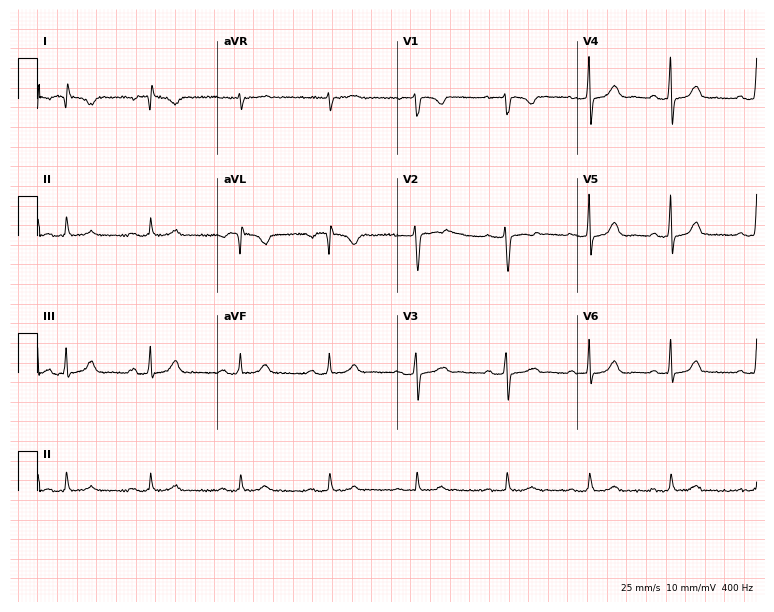
Resting 12-lead electrocardiogram. Patient: a 31-year-old female. None of these six findings is recorded: first-degree AV block, right bundle branch block (RBBB), left bundle branch block (LBBB), sinus bradycardia, atrial fibrillation (AF), sinus tachycardia. Other findings, if any, are not listed.